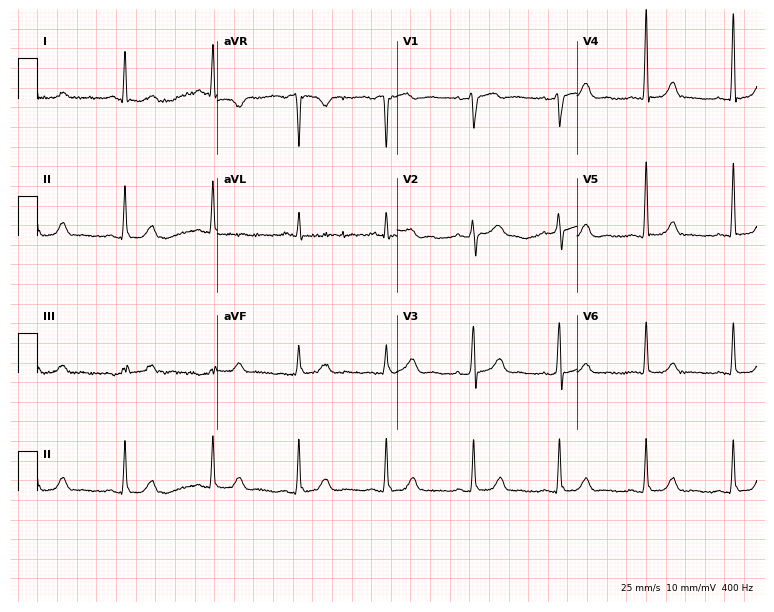
ECG (7.3-second recording at 400 Hz) — a 56-year-old female. Screened for six findings — first-degree AV block, right bundle branch block, left bundle branch block, sinus bradycardia, atrial fibrillation, sinus tachycardia — none is recorded.